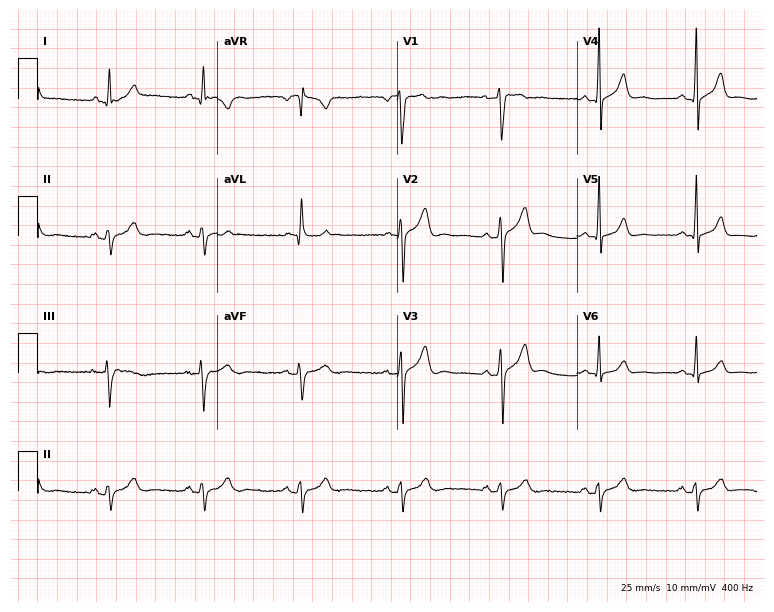
Resting 12-lead electrocardiogram (7.3-second recording at 400 Hz). Patient: a 46-year-old man. None of these six findings is recorded: first-degree AV block, right bundle branch block, left bundle branch block, sinus bradycardia, atrial fibrillation, sinus tachycardia. Findings outside these six are not listed.